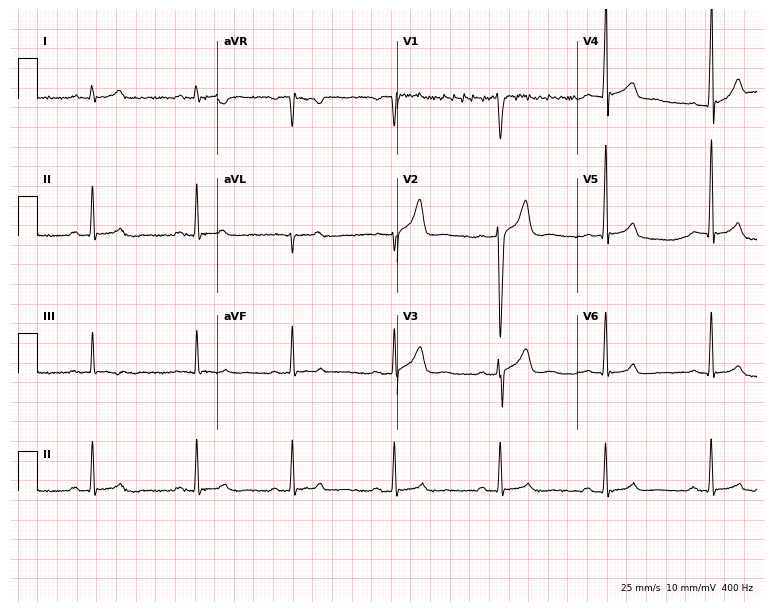
ECG (7.3-second recording at 400 Hz) — a 32-year-old man. Labelled as a normal ECG.